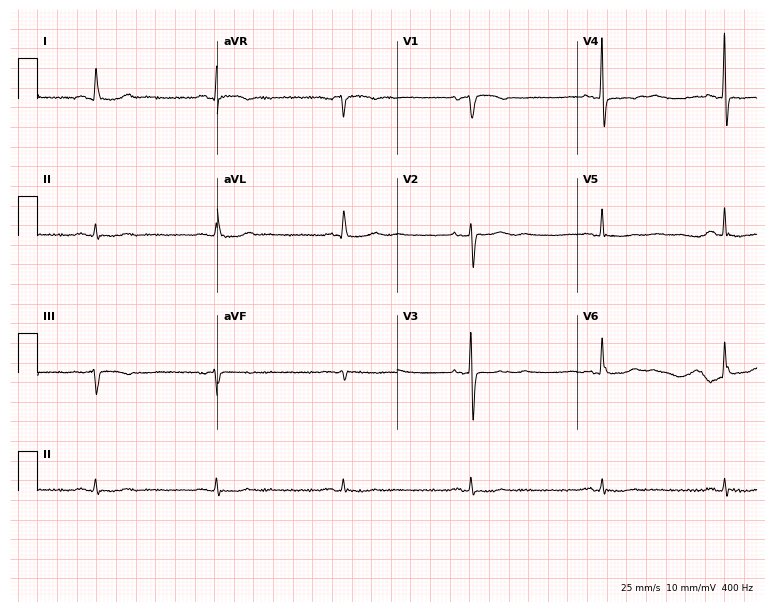
12-lead ECG from a woman, 80 years old (7.3-second recording at 400 Hz). No first-degree AV block, right bundle branch block, left bundle branch block, sinus bradycardia, atrial fibrillation or sinus tachycardia recorded for this tracing.